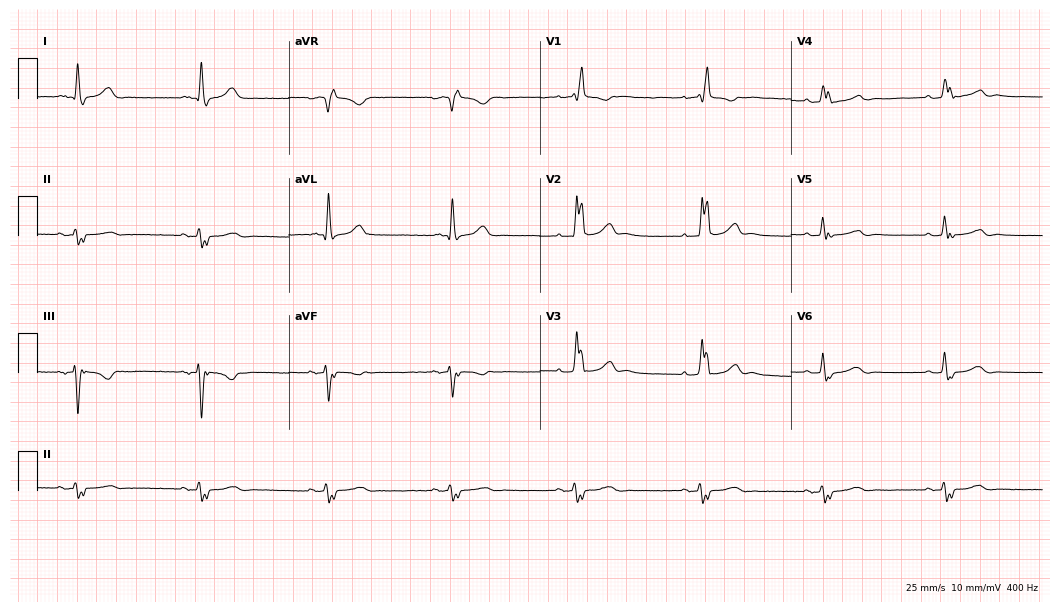
12-lead ECG from a female, 81 years old. Screened for six findings — first-degree AV block, right bundle branch block, left bundle branch block, sinus bradycardia, atrial fibrillation, sinus tachycardia — none is recorded.